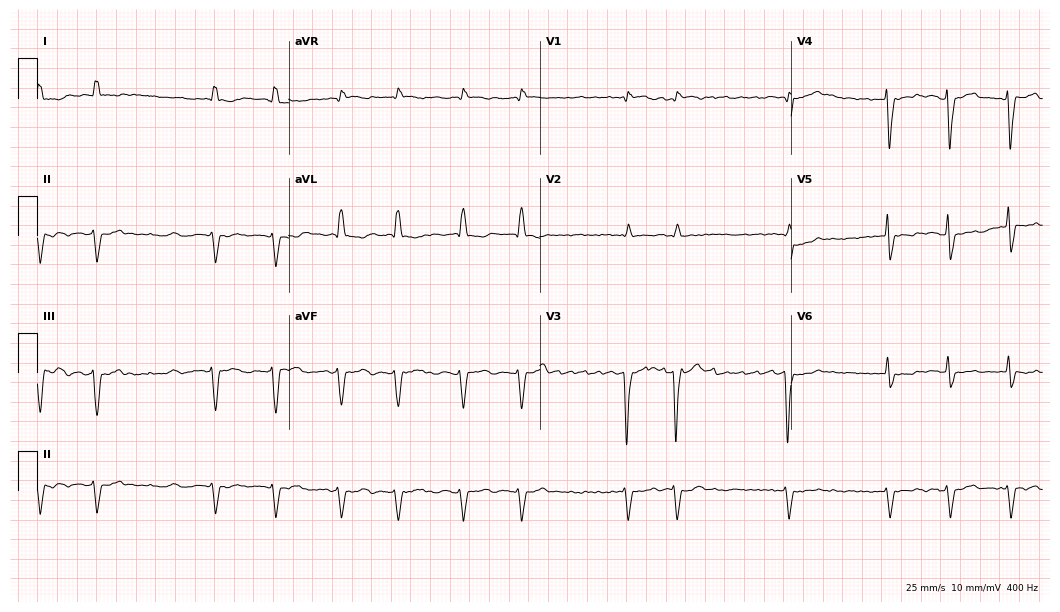
ECG (10.2-second recording at 400 Hz) — a 77-year-old female patient. Screened for six findings — first-degree AV block, right bundle branch block, left bundle branch block, sinus bradycardia, atrial fibrillation, sinus tachycardia — none is recorded. Only these six findings were labelled.